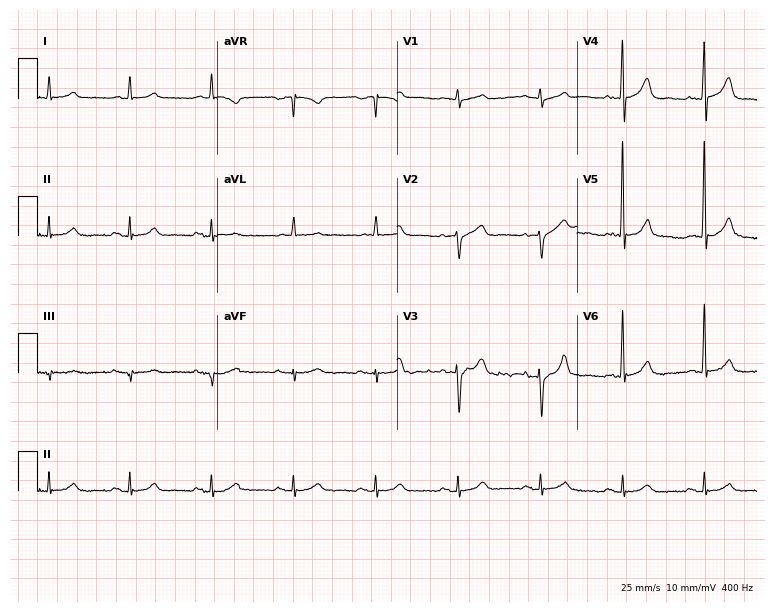
Resting 12-lead electrocardiogram (7.3-second recording at 400 Hz). Patient: a male, 74 years old. Read as a normal ECG.